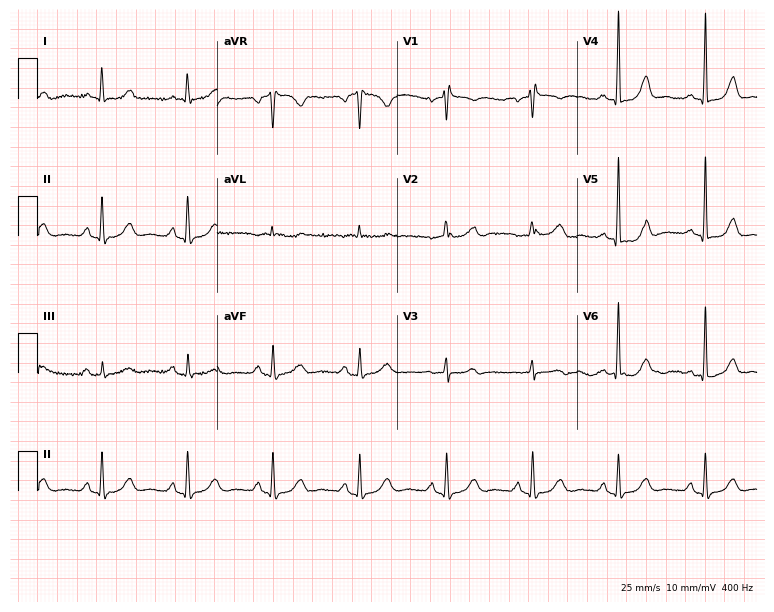
12-lead ECG from a woman, 61 years old (7.3-second recording at 400 Hz). Recorded interpretation: within normal limits.